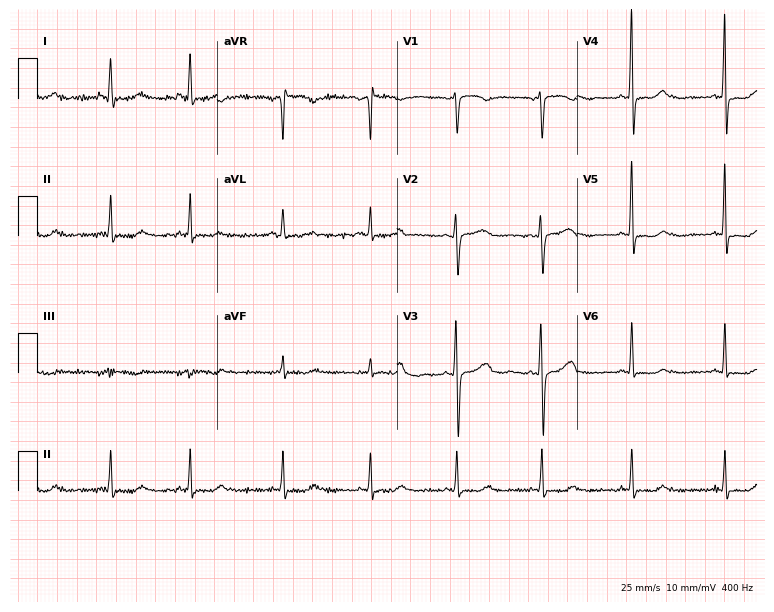
12-lead ECG from a woman, 53 years old. No first-degree AV block, right bundle branch block, left bundle branch block, sinus bradycardia, atrial fibrillation or sinus tachycardia recorded for this tracing.